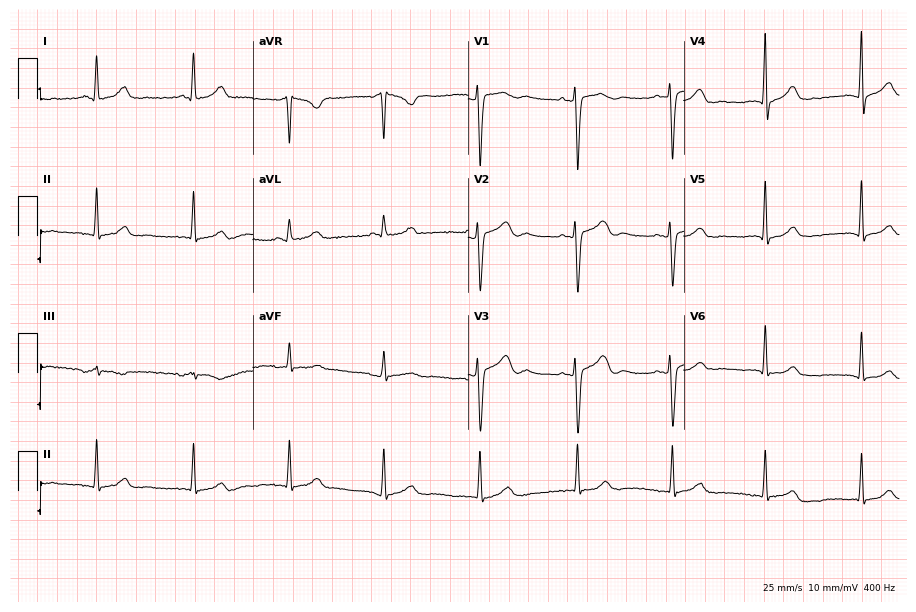
12-lead ECG from a female patient, 43 years old. Labelled as a normal ECG.